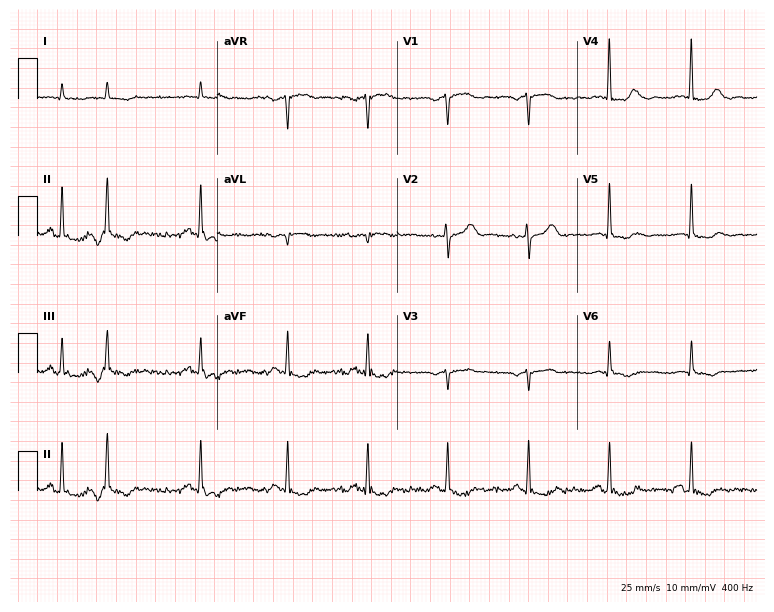
12-lead ECG from a man, 85 years old. No first-degree AV block, right bundle branch block, left bundle branch block, sinus bradycardia, atrial fibrillation or sinus tachycardia recorded for this tracing.